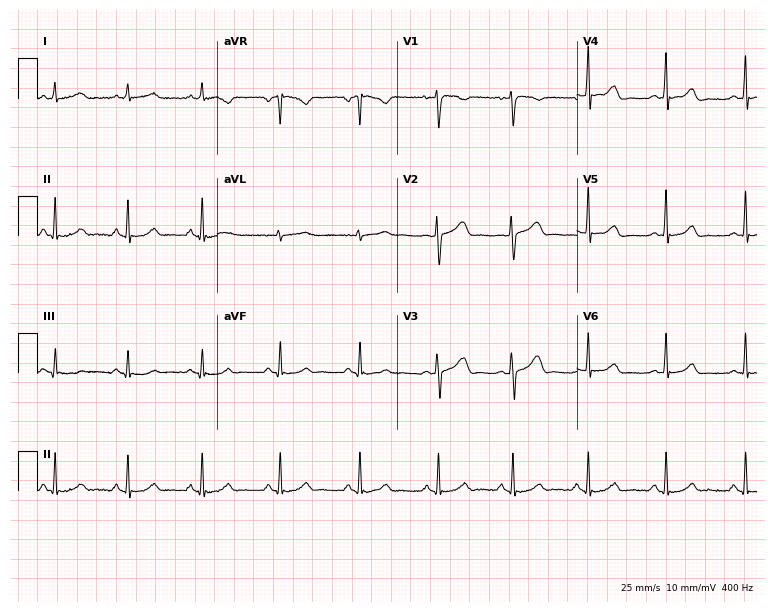
Standard 12-lead ECG recorded from a woman, 37 years old. Read as a normal ECG.